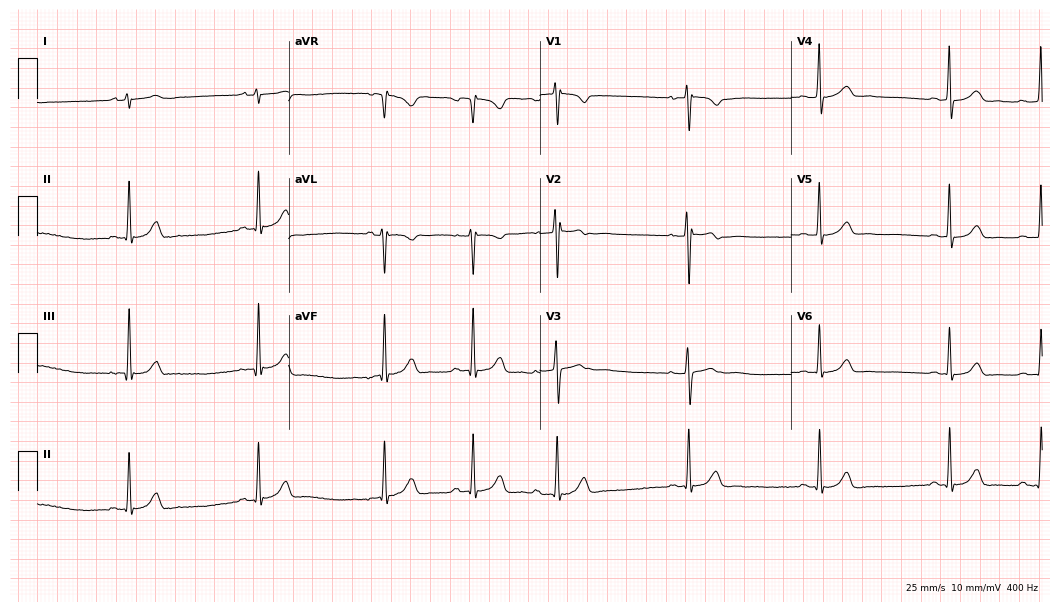
Resting 12-lead electrocardiogram (10.2-second recording at 400 Hz). Patient: a 23-year-old female. Read as a normal ECG.